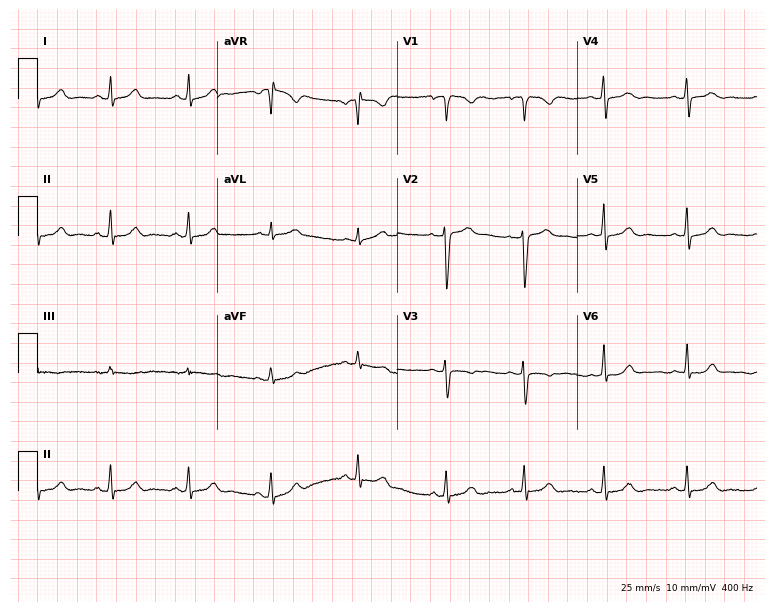
Resting 12-lead electrocardiogram (7.3-second recording at 400 Hz). Patient: a female, 35 years old. None of these six findings is recorded: first-degree AV block, right bundle branch block, left bundle branch block, sinus bradycardia, atrial fibrillation, sinus tachycardia.